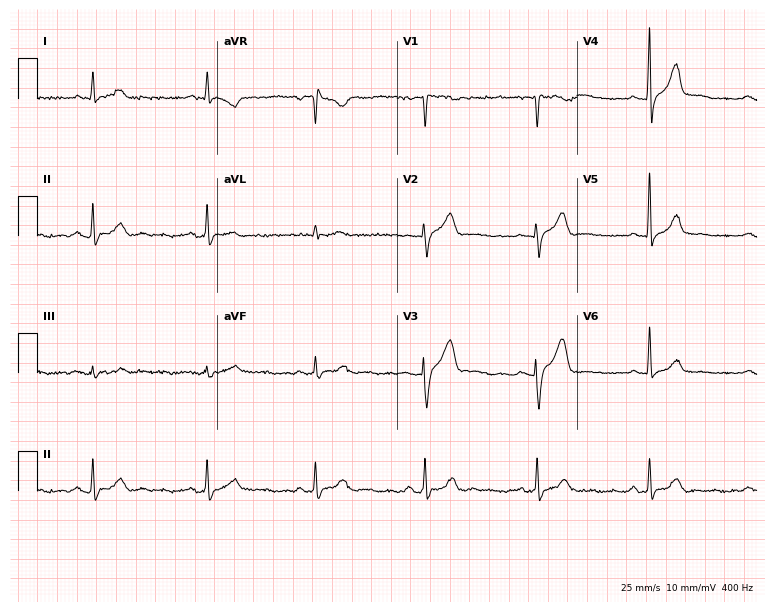
Resting 12-lead electrocardiogram. Patient: a 44-year-old man. None of these six findings is recorded: first-degree AV block, right bundle branch block, left bundle branch block, sinus bradycardia, atrial fibrillation, sinus tachycardia.